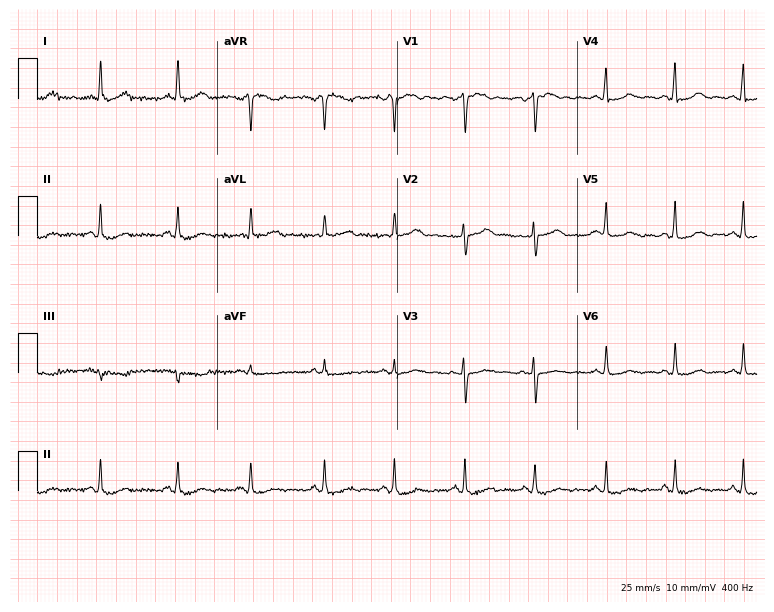
12-lead ECG from a 52-year-old female (7.3-second recording at 400 Hz). Recorded interpretation: within normal limits.